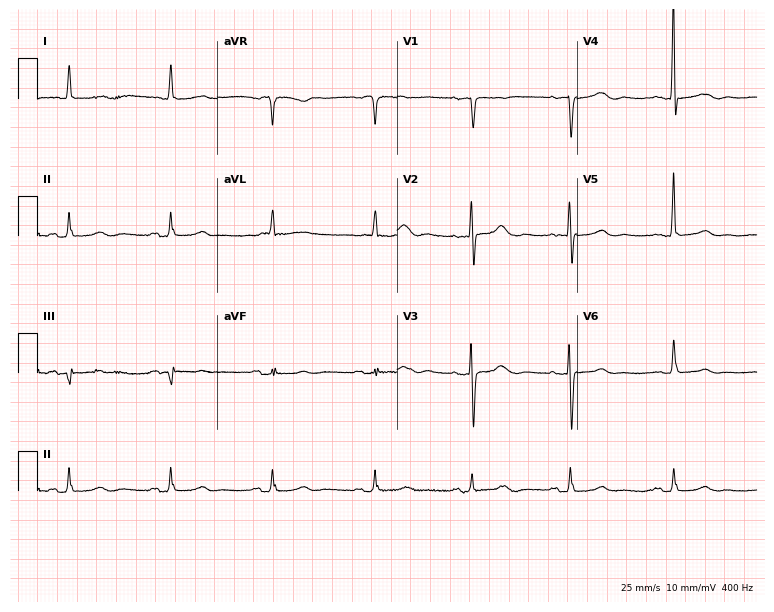
12-lead ECG from a female, 79 years old. Screened for six findings — first-degree AV block, right bundle branch block, left bundle branch block, sinus bradycardia, atrial fibrillation, sinus tachycardia — none is recorded.